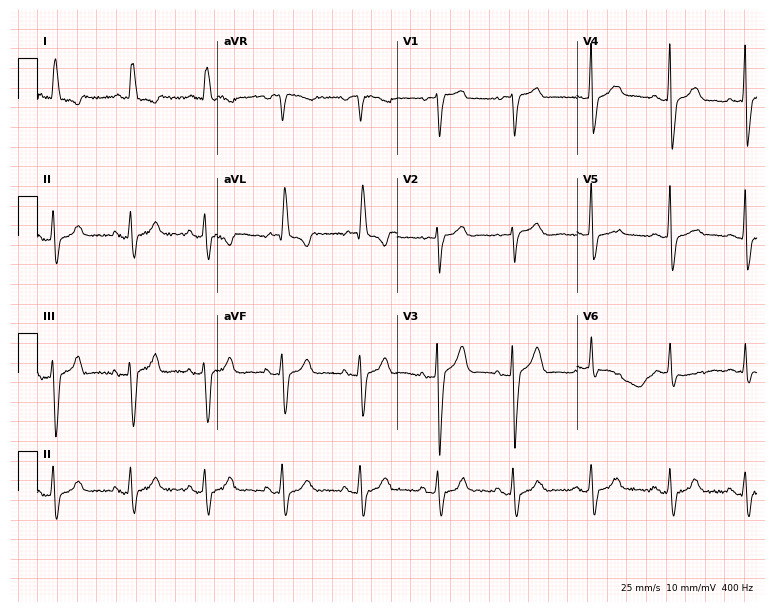
12-lead ECG (7.3-second recording at 400 Hz) from a female patient, 84 years old. Screened for six findings — first-degree AV block, right bundle branch block, left bundle branch block, sinus bradycardia, atrial fibrillation, sinus tachycardia — none is recorded.